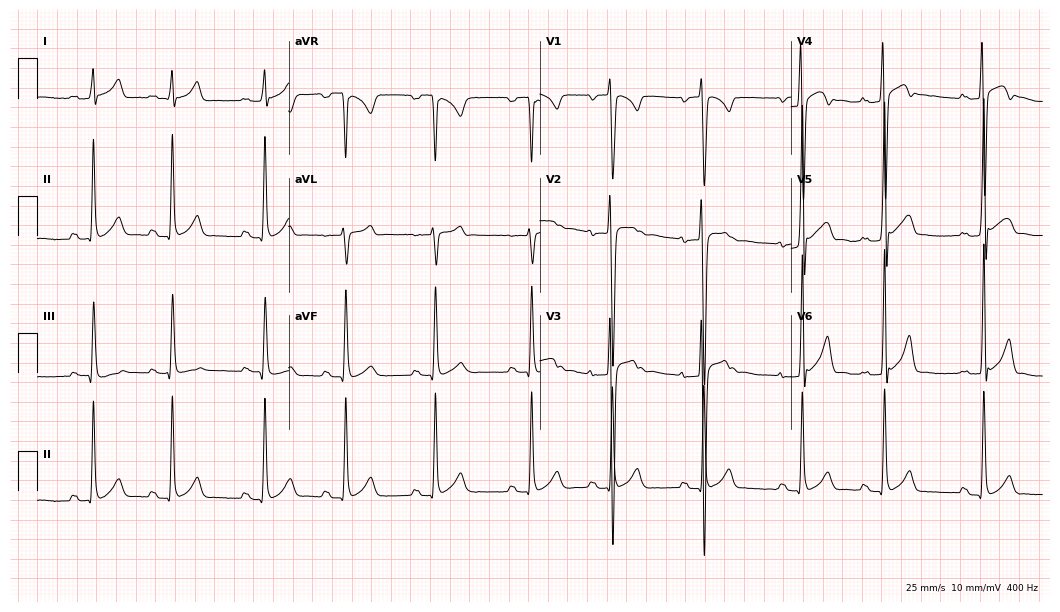
Standard 12-lead ECG recorded from a 17-year-old man (10.2-second recording at 400 Hz). None of these six findings is recorded: first-degree AV block, right bundle branch block, left bundle branch block, sinus bradycardia, atrial fibrillation, sinus tachycardia. Other findings, if any, are not listed.